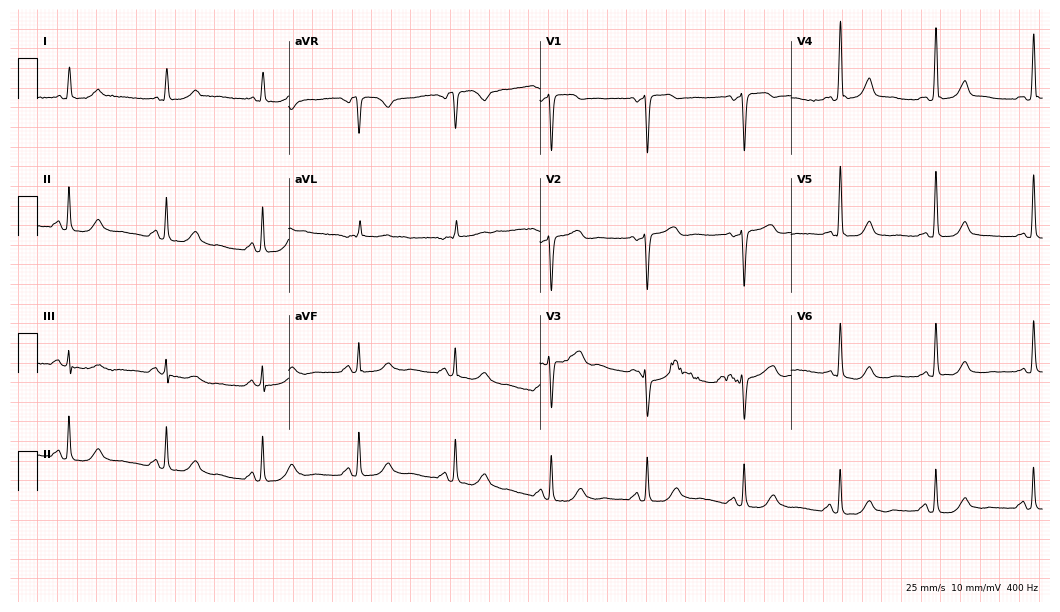
Standard 12-lead ECG recorded from a 69-year-old woman. None of these six findings is recorded: first-degree AV block, right bundle branch block, left bundle branch block, sinus bradycardia, atrial fibrillation, sinus tachycardia. Only these six findings were labelled.